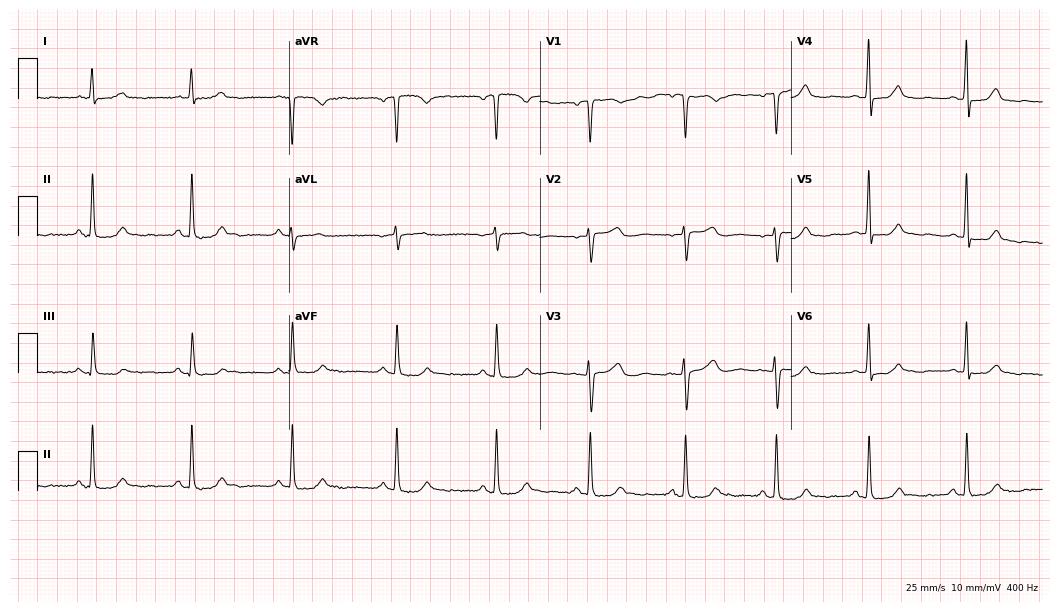
12-lead ECG from a 45-year-old female patient. Labelled as a normal ECG.